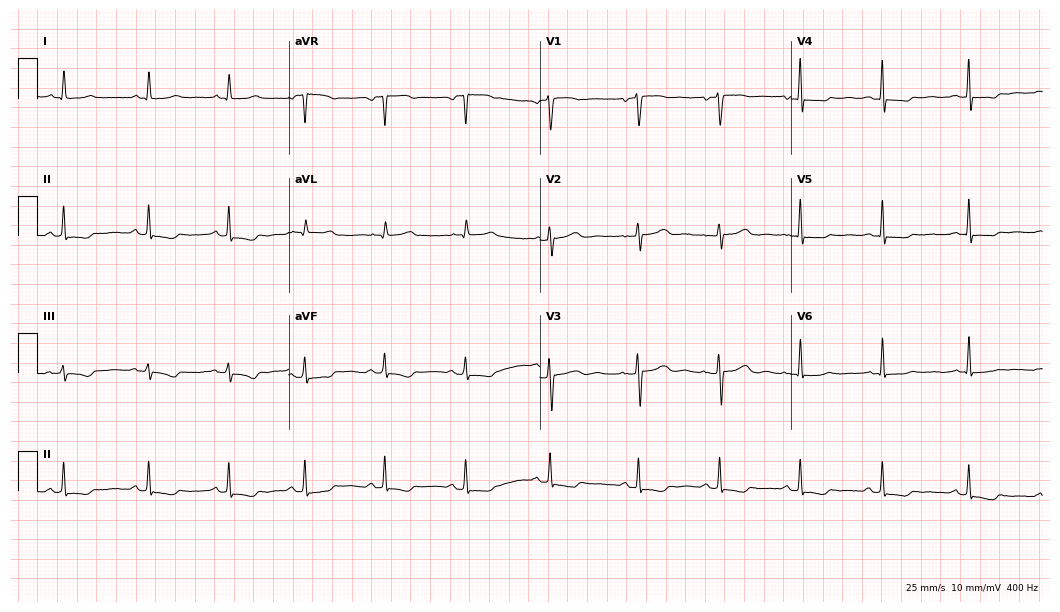
12-lead ECG from a female, 41 years old. Screened for six findings — first-degree AV block, right bundle branch block (RBBB), left bundle branch block (LBBB), sinus bradycardia, atrial fibrillation (AF), sinus tachycardia — none is recorded.